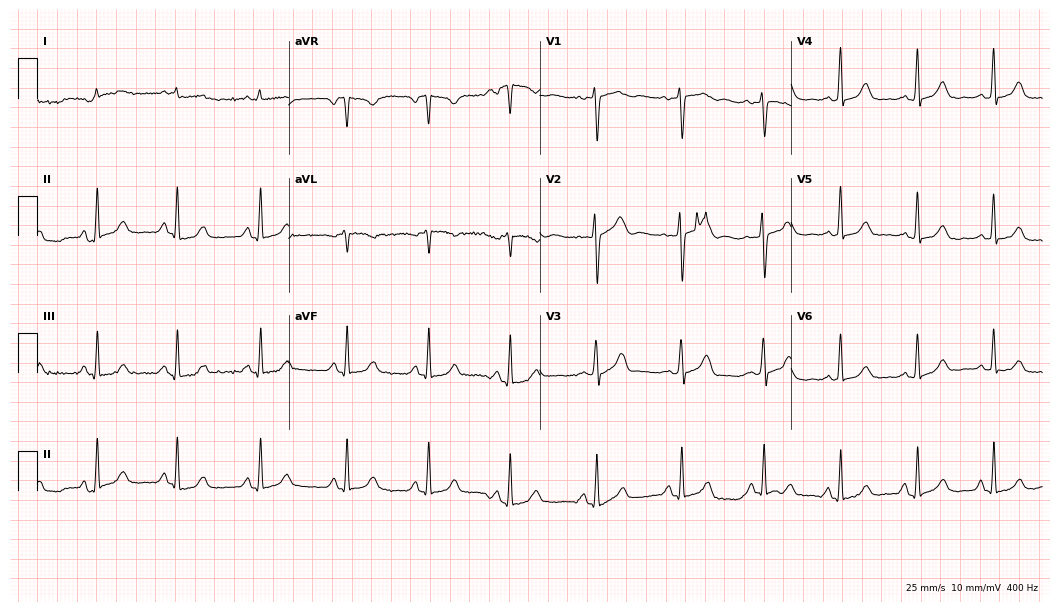
12-lead ECG (10.2-second recording at 400 Hz) from a 50-year-old female. Labelled as a normal ECG.